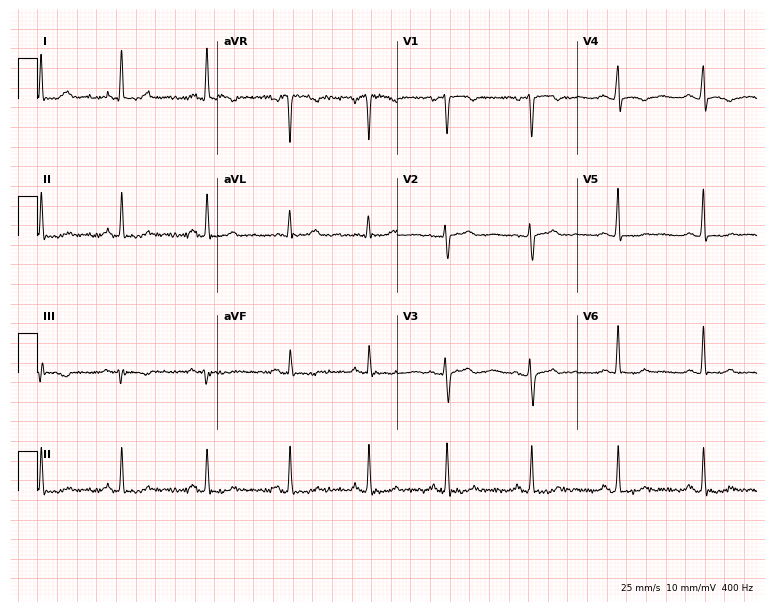
Standard 12-lead ECG recorded from a 27-year-old female. None of these six findings is recorded: first-degree AV block, right bundle branch block (RBBB), left bundle branch block (LBBB), sinus bradycardia, atrial fibrillation (AF), sinus tachycardia. Findings outside these six are not listed.